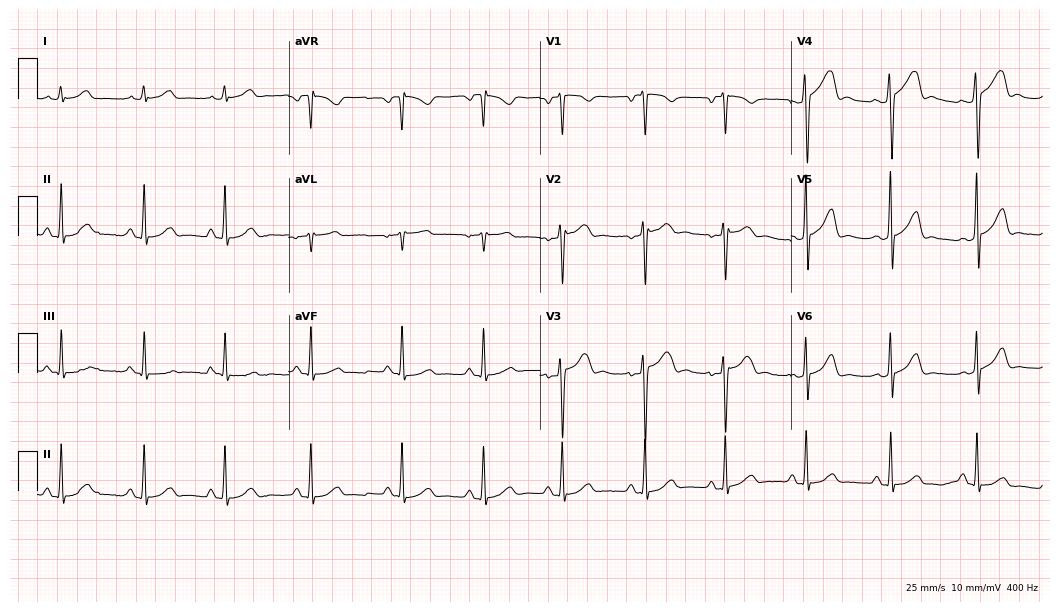
ECG — a 25-year-old man. Labelled as a normal ECG.